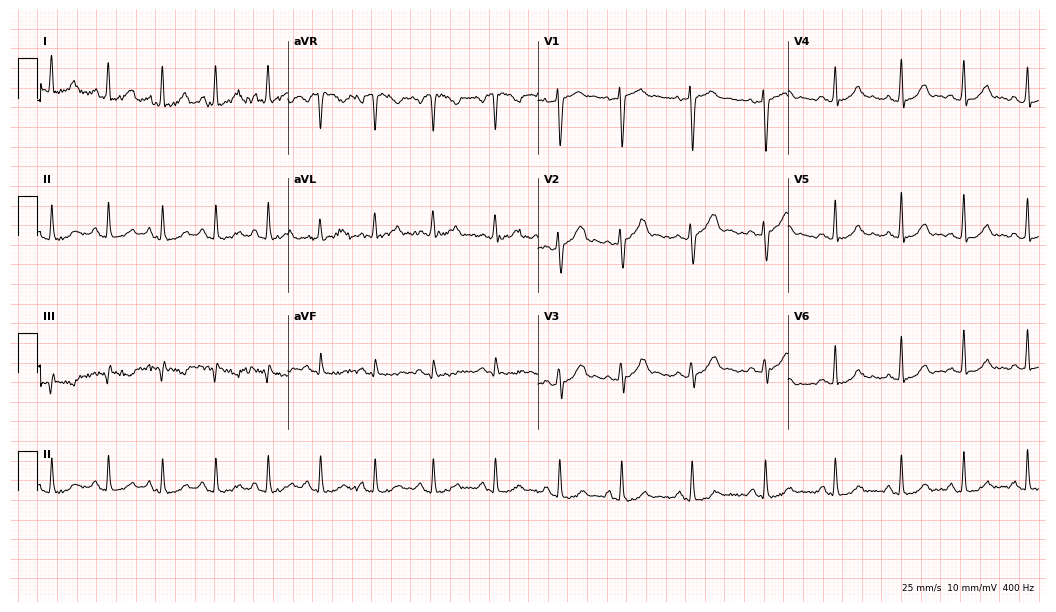
Resting 12-lead electrocardiogram. Patient: a female, 22 years old. Read as a normal ECG.